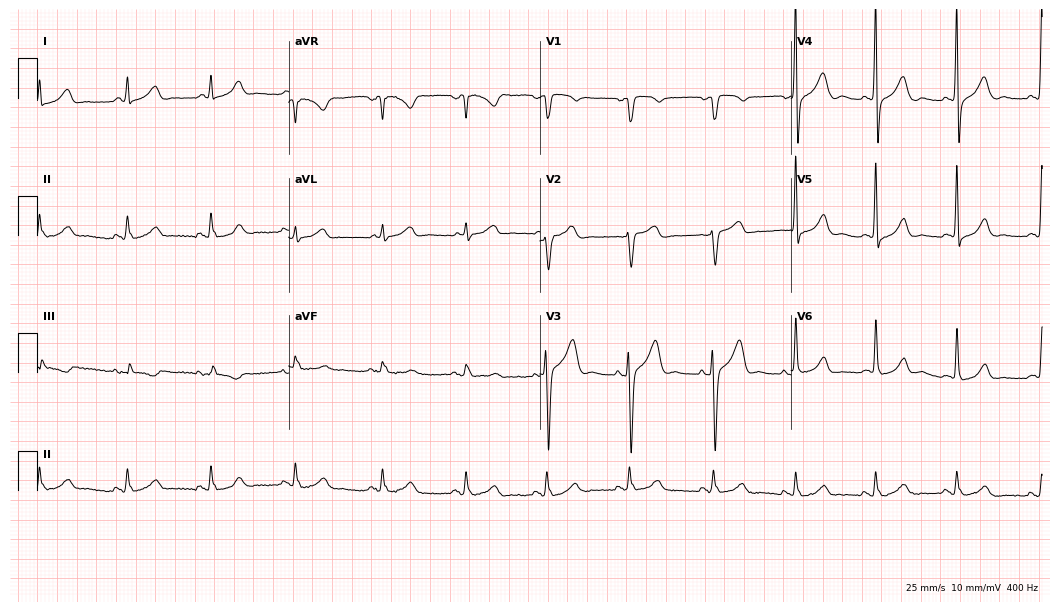
Resting 12-lead electrocardiogram (10.2-second recording at 400 Hz). Patient: a 59-year-old female. Read as a normal ECG.